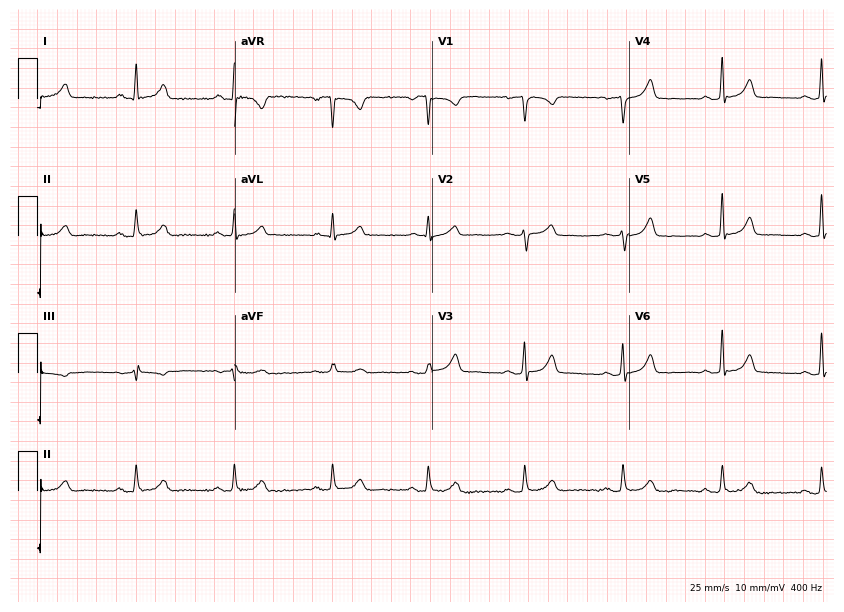
Resting 12-lead electrocardiogram (8-second recording at 400 Hz). Patient: a 49-year-old female. Read as a normal ECG.